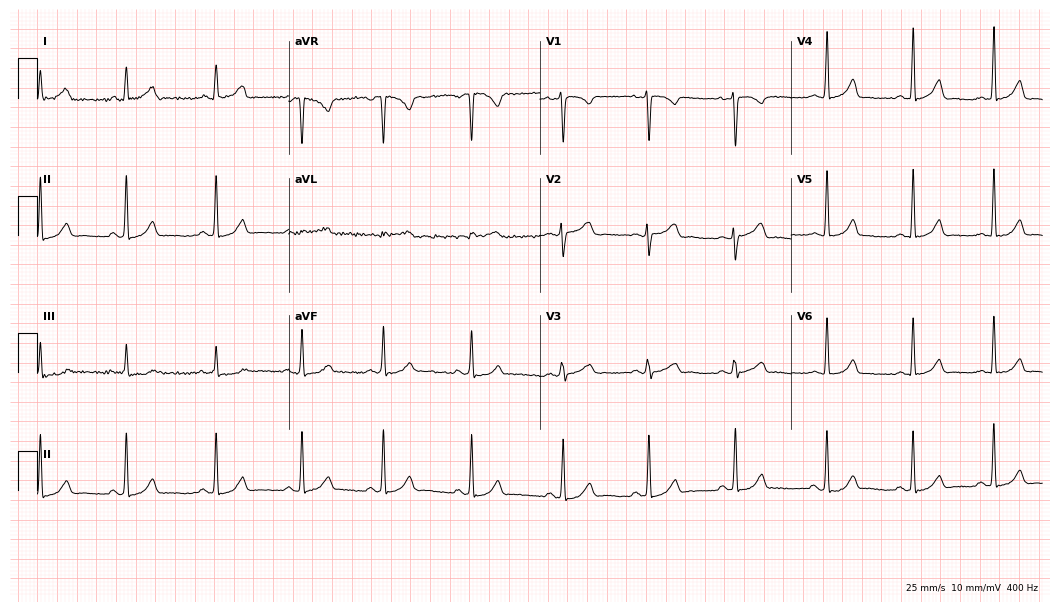
12-lead ECG (10.2-second recording at 400 Hz) from a 37-year-old woman. Labelled as a normal ECG.